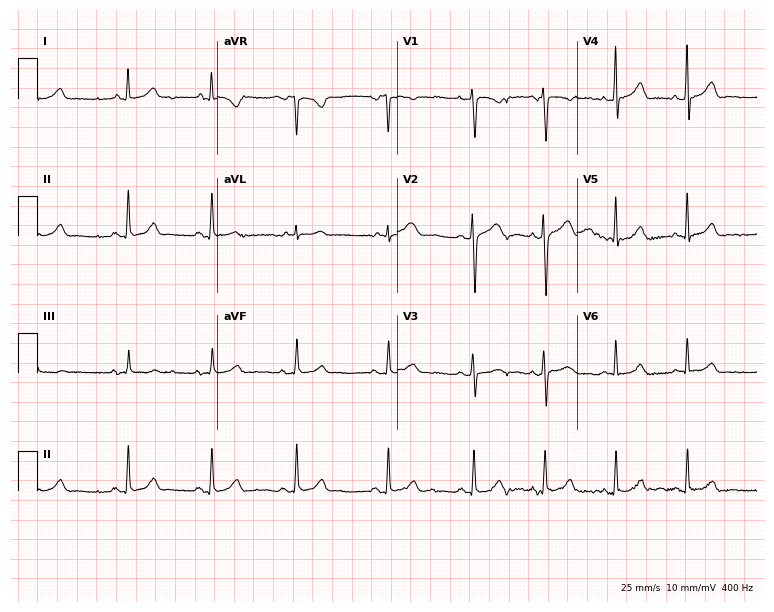
12-lead ECG (7.3-second recording at 400 Hz) from a female patient, 20 years old. Labelled as a normal ECG.